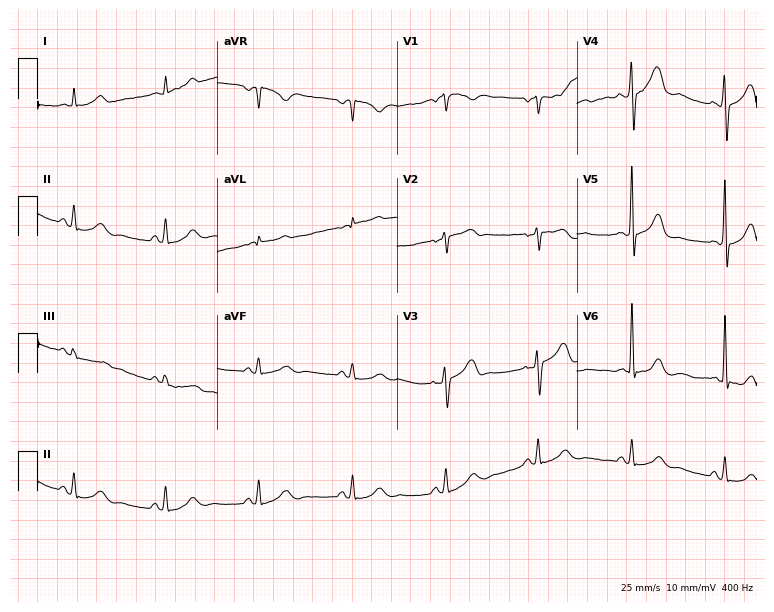
Standard 12-lead ECG recorded from a 64-year-old male patient. None of these six findings is recorded: first-degree AV block, right bundle branch block, left bundle branch block, sinus bradycardia, atrial fibrillation, sinus tachycardia. Findings outside these six are not listed.